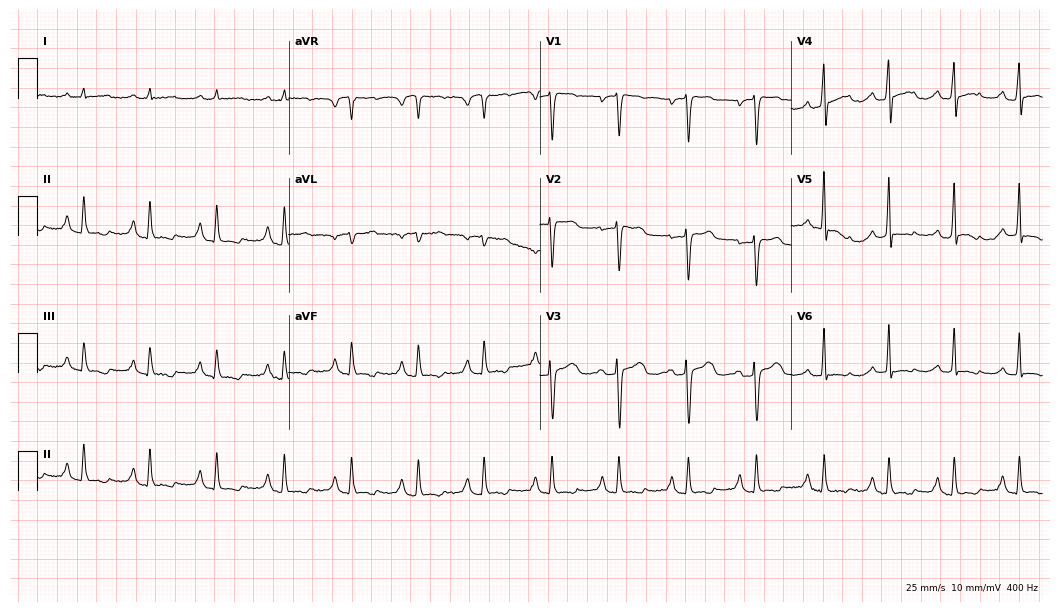
ECG (10.2-second recording at 400 Hz) — a male, 65 years old. Screened for six findings — first-degree AV block, right bundle branch block (RBBB), left bundle branch block (LBBB), sinus bradycardia, atrial fibrillation (AF), sinus tachycardia — none is recorded.